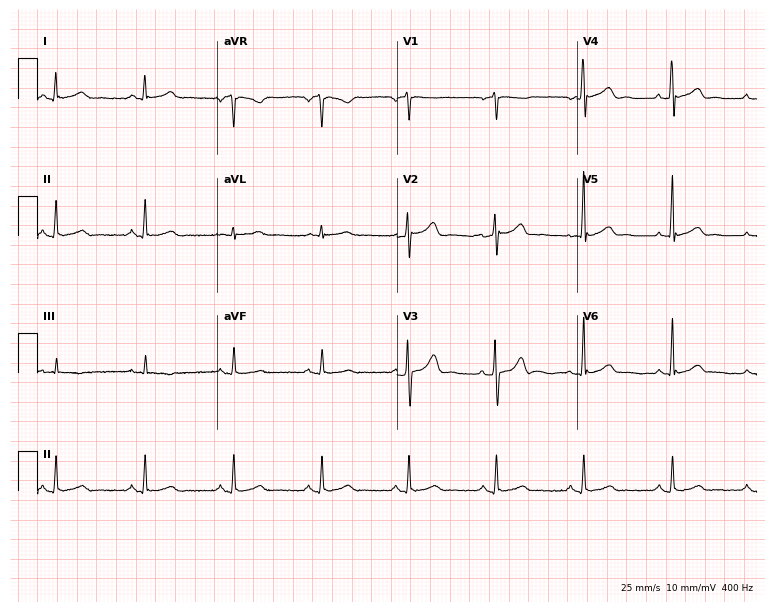
Resting 12-lead electrocardiogram (7.3-second recording at 400 Hz). Patient: a 35-year-old man. Read as a normal ECG.